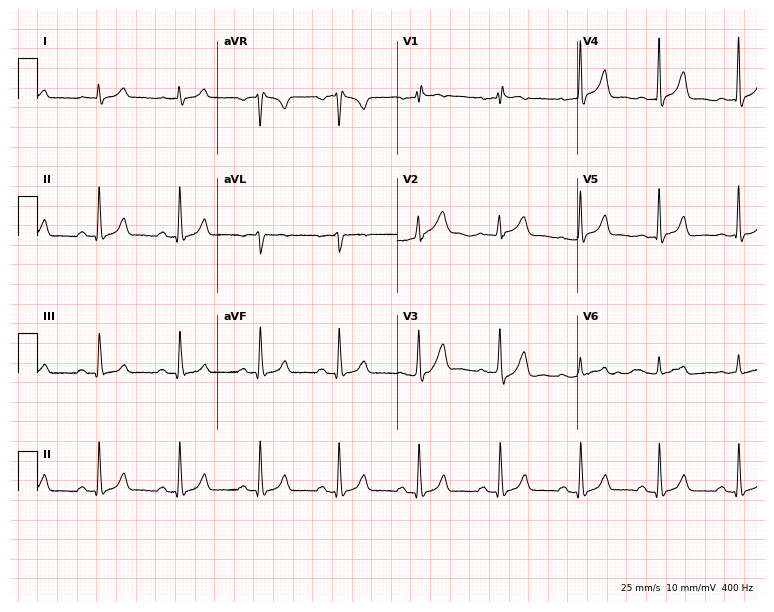
ECG (7.3-second recording at 400 Hz) — a 75-year-old male patient. Labelled as a normal ECG.